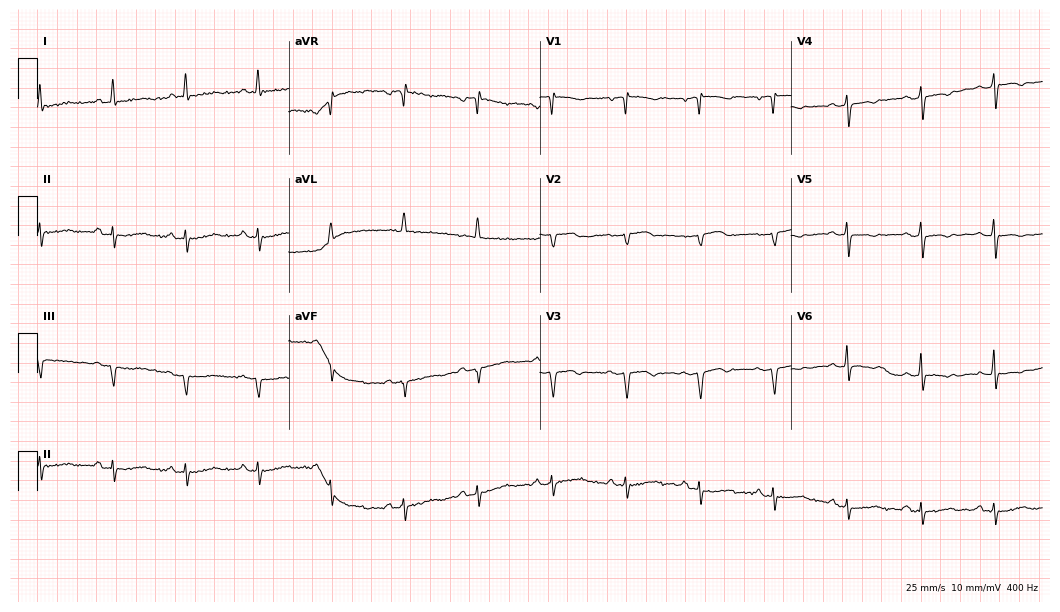
Standard 12-lead ECG recorded from a 70-year-old female patient (10.2-second recording at 400 Hz). None of these six findings is recorded: first-degree AV block, right bundle branch block, left bundle branch block, sinus bradycardia, atrial fibrillation, sinus tachycardia. Findings outside these six are not listed.